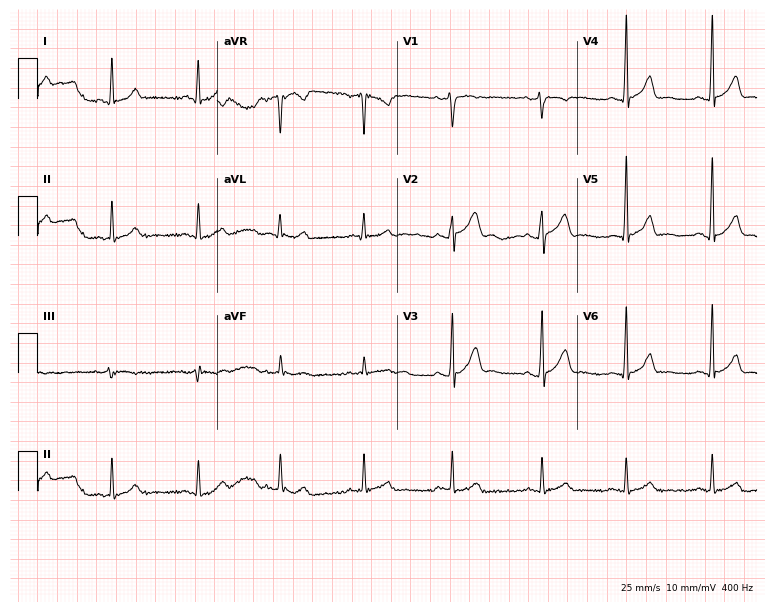
Standard 12-lead ECG recorded from a 30-year-old man. Read as a normal ECG.